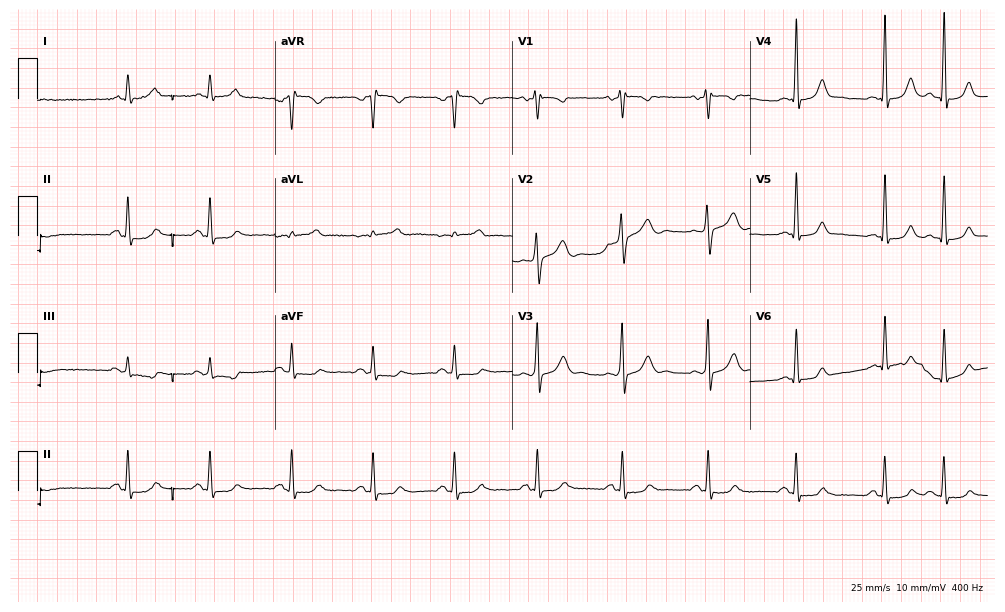
ECG — a 55-year-old male. Labelled as a normal ECG.